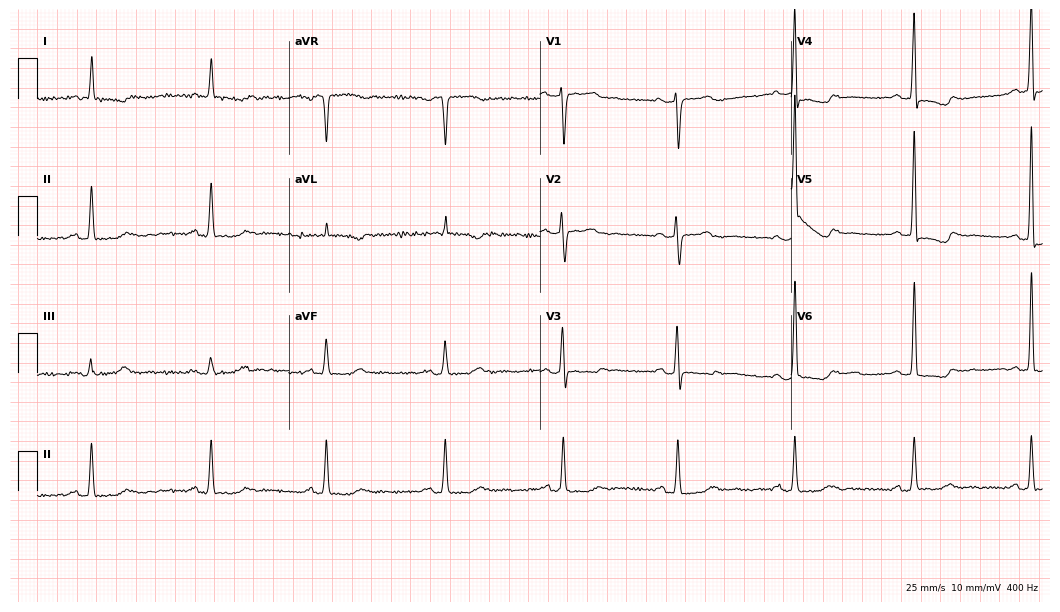
Resting 12-lead electrocardiogram. Patient: a 77-year-old female. None of these six findings is recorded: first-degree AV block, right bundle branch block (RBBB), left bundle branch block (LBBB), sinus bradycardia, atrial fibrillation (AF), sinus tachycardia. Other findings, if any, are not listed.